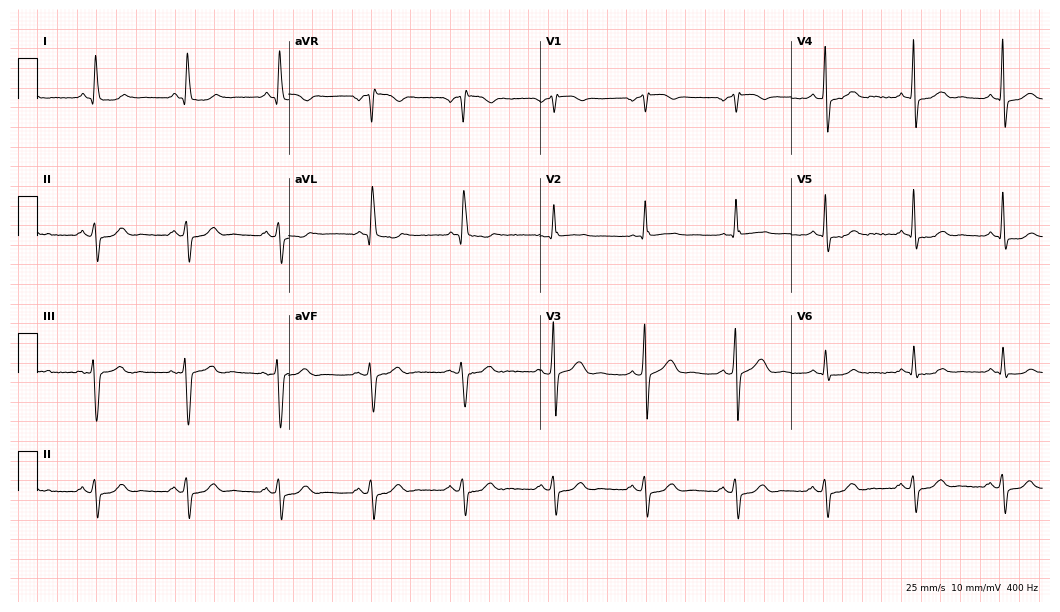
12-lead ECG (10.2-second recording at 400 Hz) from a man, 73 years old. Screened for six findings — first-degree AV block, right bundle branch block, left bundle branch block, sinus bradycardia, atrial fibrillation, sinus tachycardia — none is recorded.